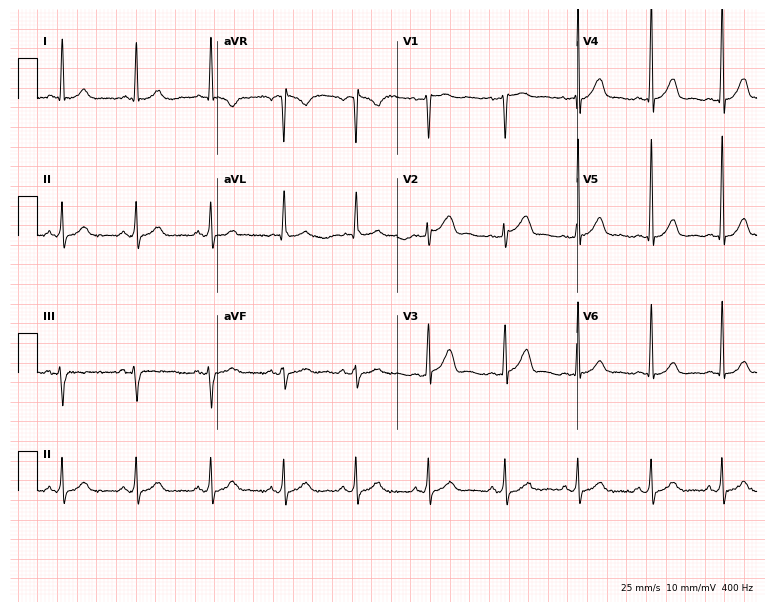
Electrocardiogram, a man, 54 years old. Overall reading on record: normal ECG.